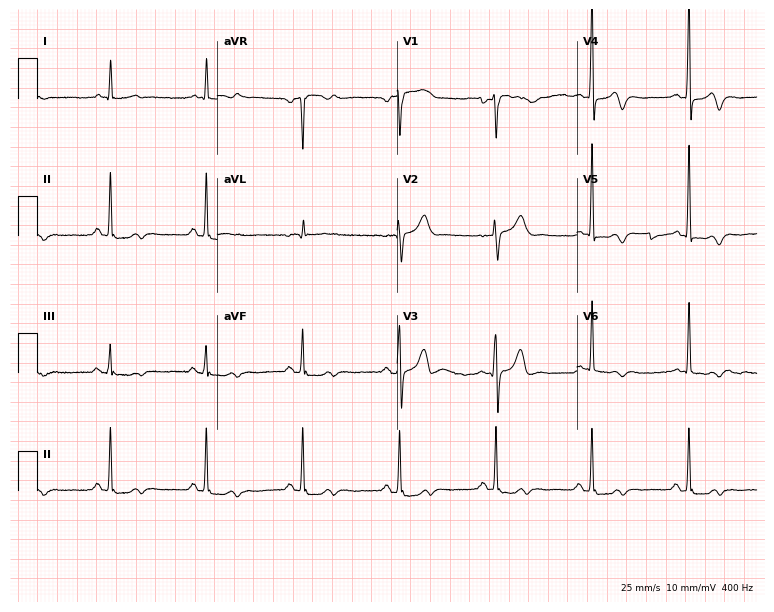
12-lead ECG from a 74-year-old male patient. Screened for six findings — first-degree AV block, right bundle branch block, left bundle branch block, sinus bradycardia, atrial fibrillation, sinus tachycardia — none is recorded.